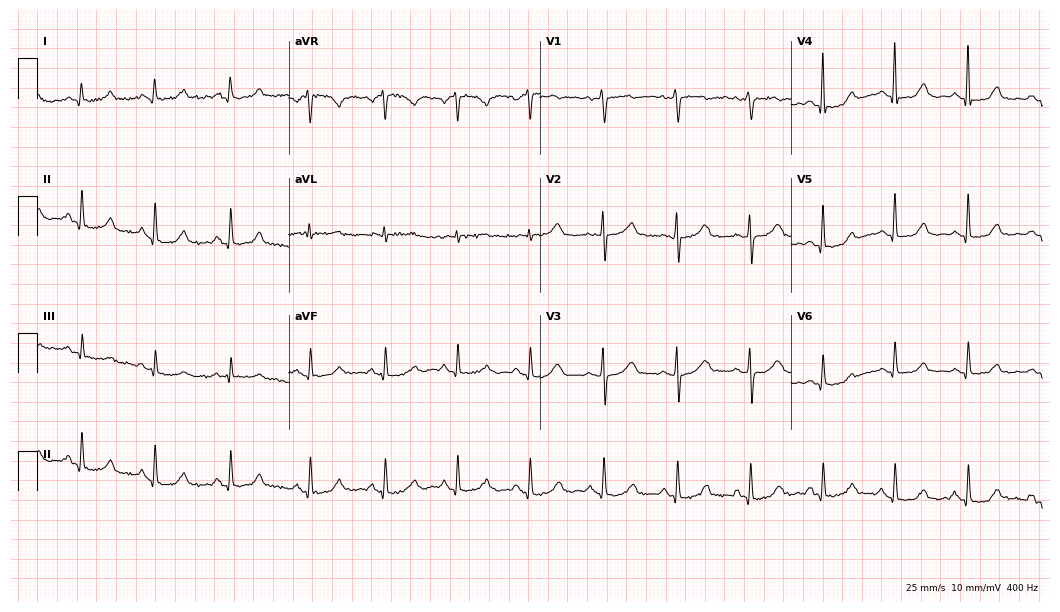
ECG (10.2-second recording at 400 Hz) — a 54-year-old female patient. Labelled as a normal ECG.